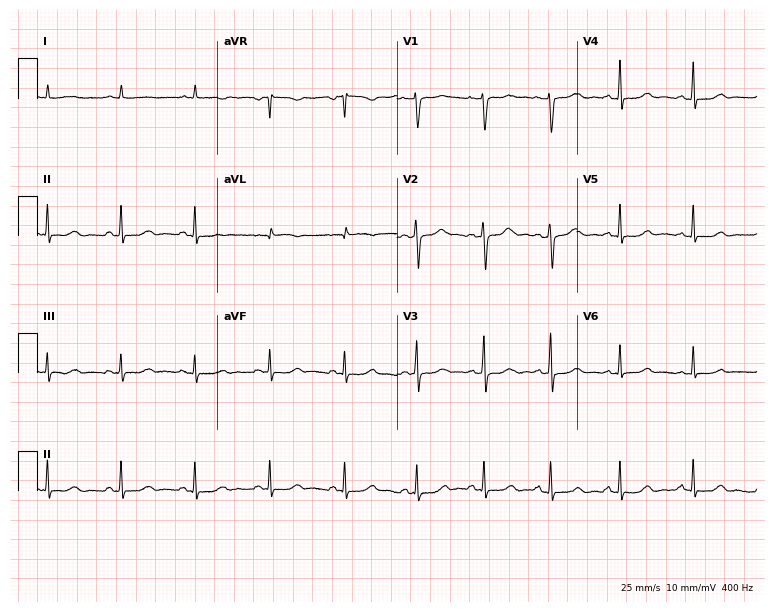
Resting 12-lead electrocardiogram. Patient: a 43-year-old female. Read as a normal ECG.